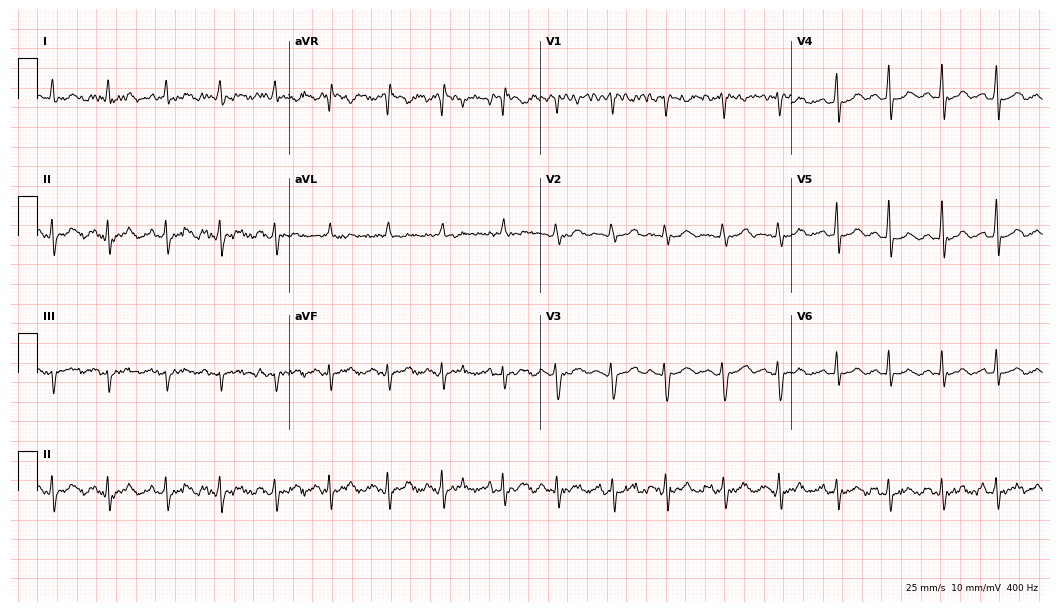
12-lead ECG from a female patient, 37 years old. Shows sinus tachycardia (a sinus rate of 100 beats per minute or more).